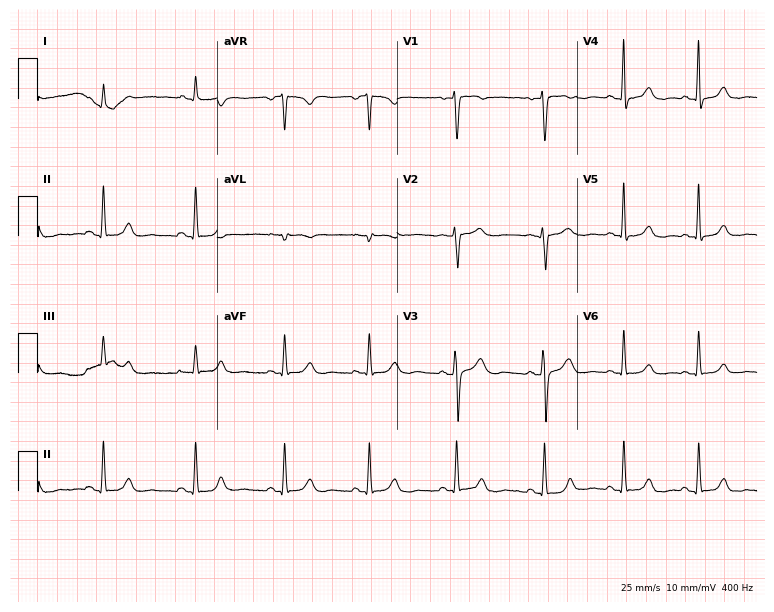
ECG — a female, 46 years old. Labelled as a normal ECG.